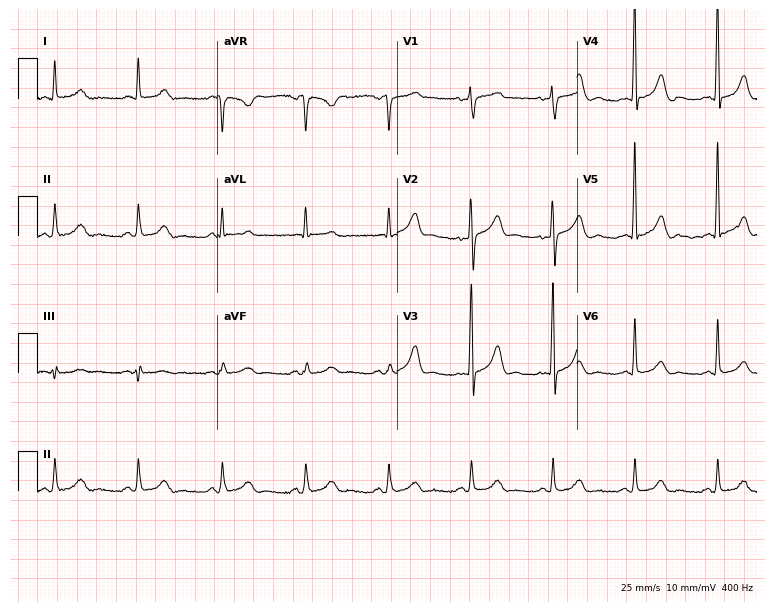
Standard 12-lead ECG recorded from a male patient, 76 years old. Read as a normal ECG.